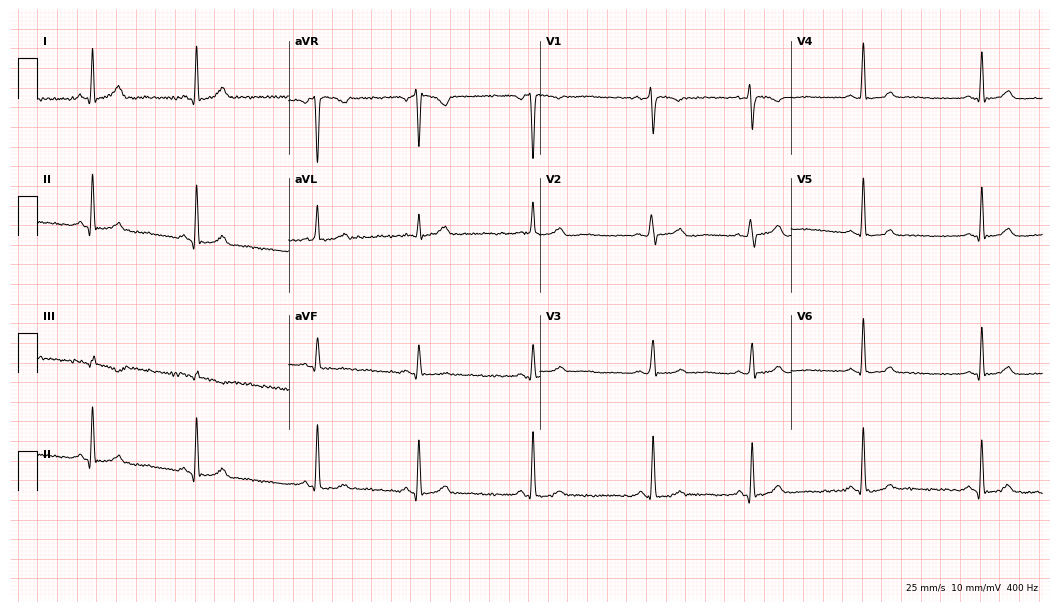
Resting 12-lead electrocardiogram. Patient: a 30-year-old female. None of these six findings is recorded: first-degree AV block, right bundle branch block, left bundle branch block, sinus bradycardia, atrial fibrillation, sinus tachycardia. Findings outside these six are not listed.